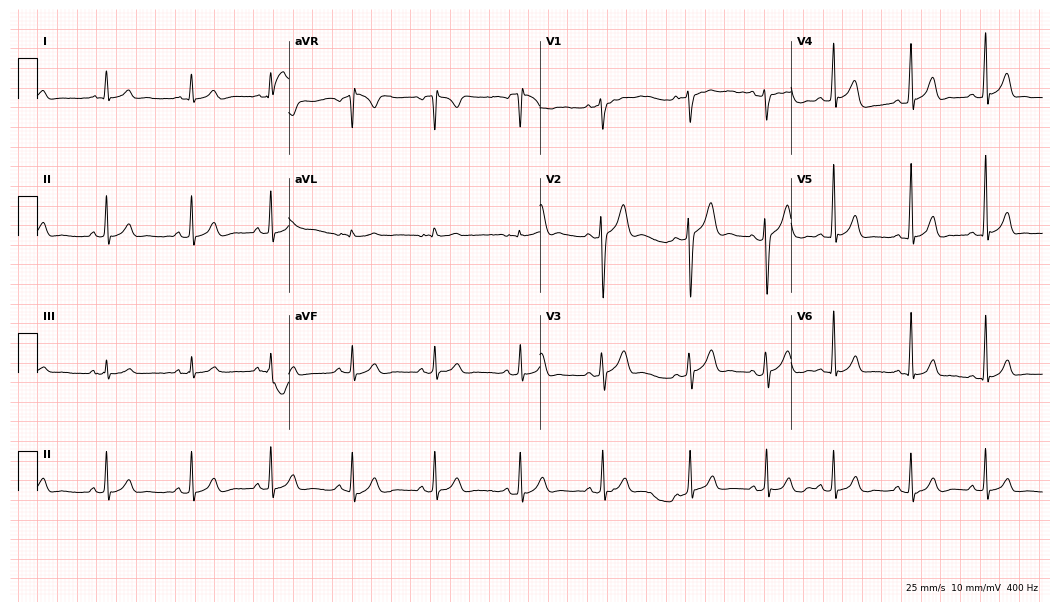
Standard 12-lead ECG recorded from a 21-year-old man (10.2-second recording at 400 Hz). Read as a normal ECG.